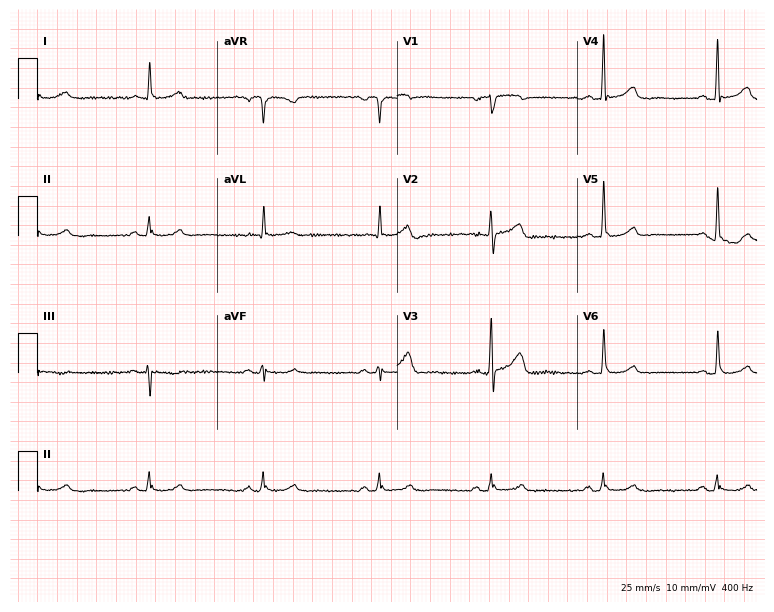
ECG — a 61-year-old male. Labelled as a normal ECG.